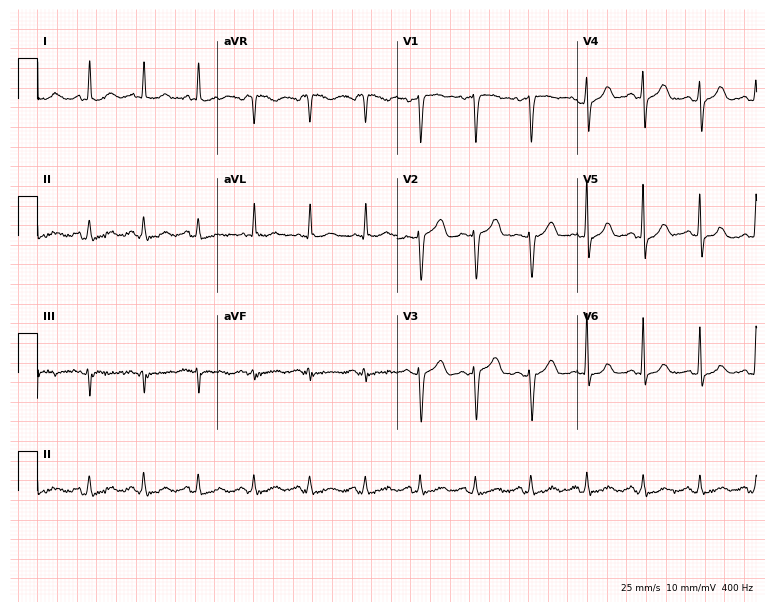
12-lead ECG (7.3-second recording at 400 Hz) from an 83-year-old woman. Findings include sinus tachycardia (a sinus rate of 100 beats per minute or more).